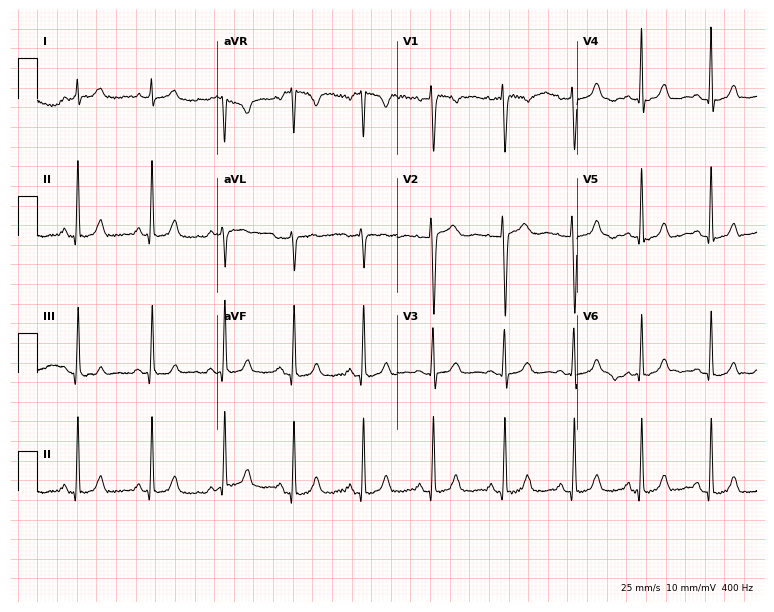
ECG (7.3-second recording at 400 Hz) — a female patient, 29 years old. Labelled as a normal ECG.